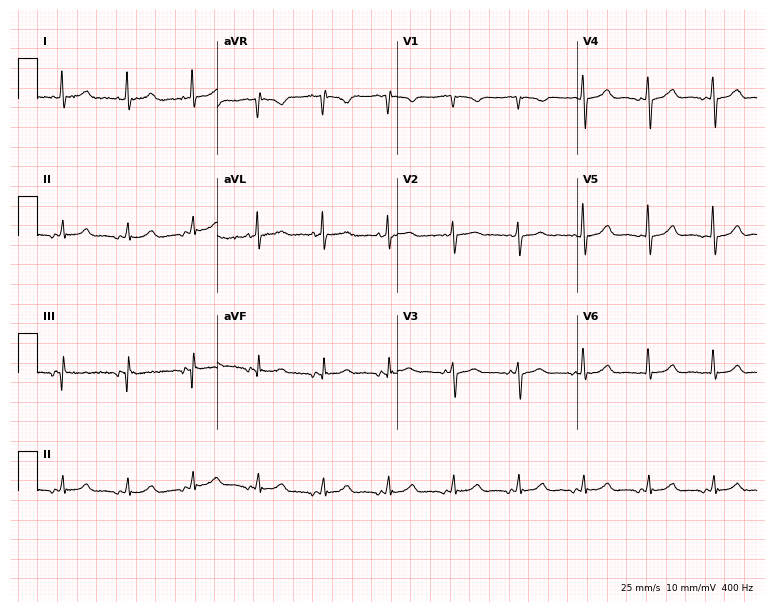
Resting 12-lead electrocardiogram (7.3-second recording at 400 Hz). Patient: an 81-year-old male. Read as a normal ECG.